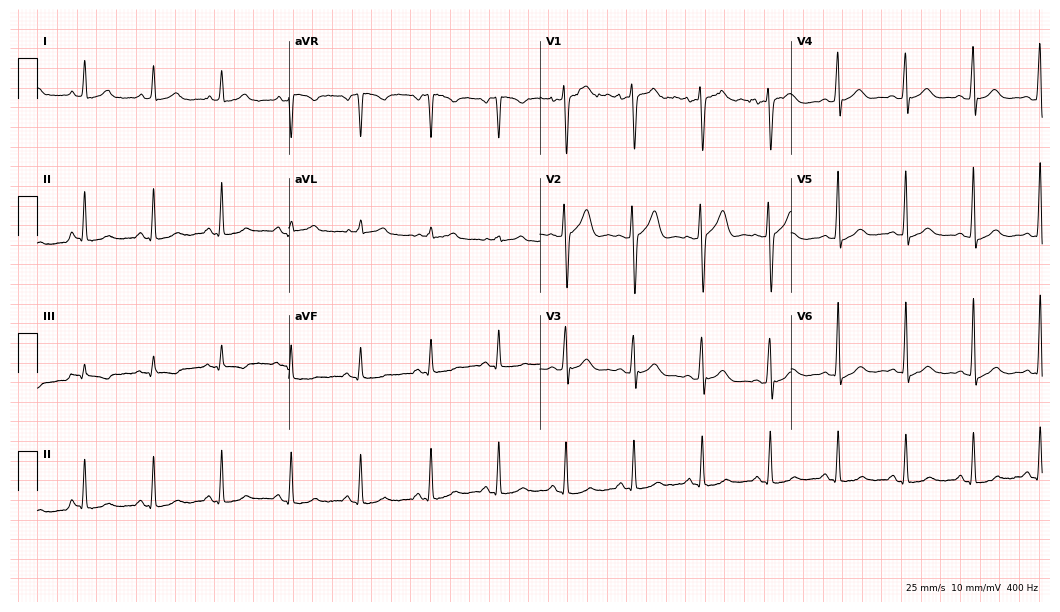
Standard 12-lead ECG recorded from a man, 49 years old (10.2-second recording at 400 Hz). Read as a normal ECG.